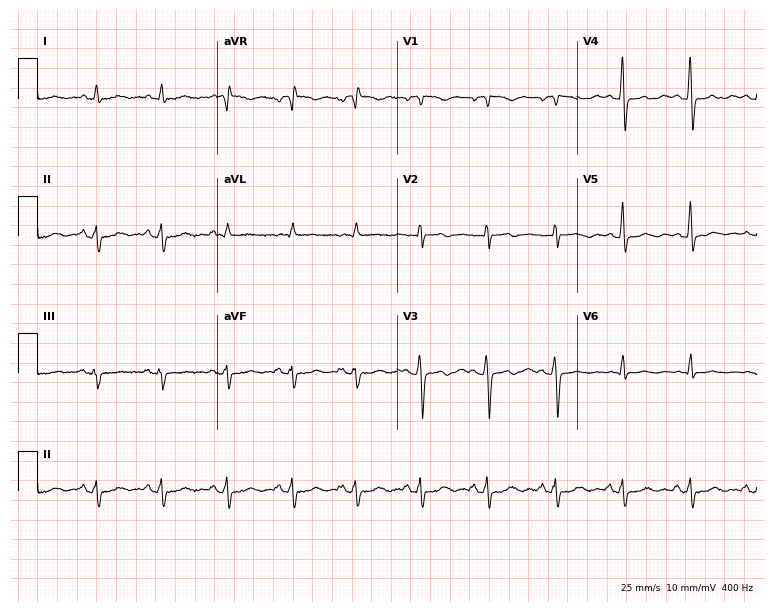
Electrocardiogram, a female, 47 years old. Of the six screened findings (first-degree AV block, right bundle branch block, left bundle branch block, sinus bradycardia, atrial fibrillation, sinus tachycardia), none is recorded.